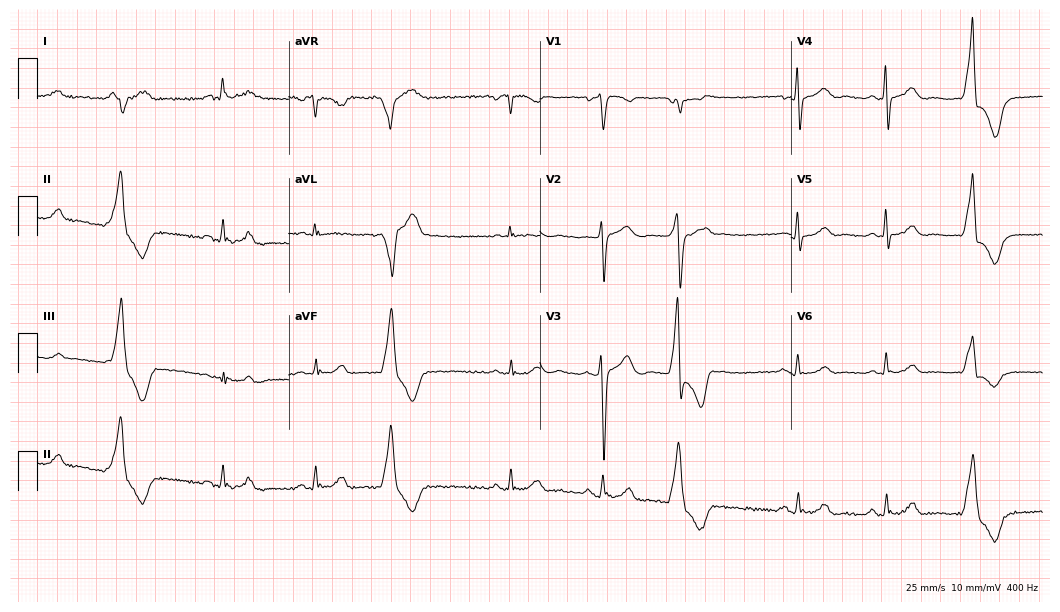
Electrocardiogram, a 59-year-old man. Overall reading on record: normal ECG.